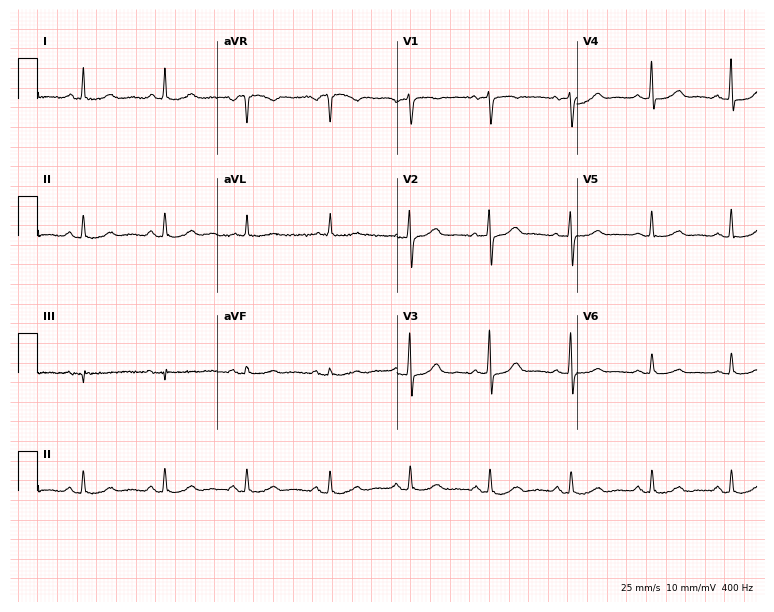
Electrocardiogram (7.3-second recording at 400 Hz), a woman, 73 years old. Overall reading on record: normal ECG.